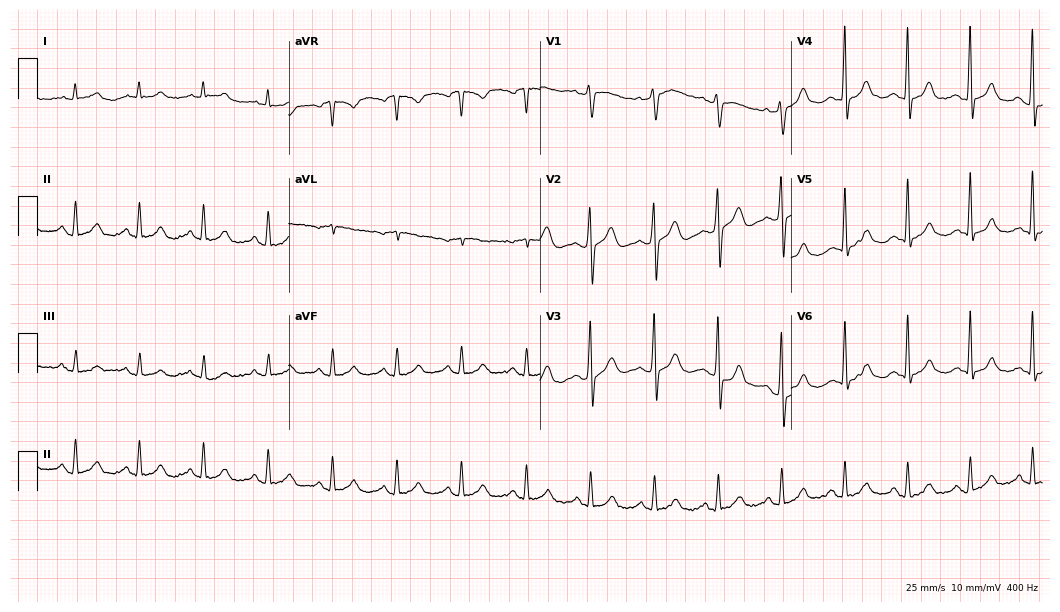
Standard 12-lead ECG recorded from a 61-year-old male. None of these six findings is recorded: first-degree AV block, right bundle branch block (RBBB), left bundle branch block (LBBB), sinus bradycardia, atrial fibrillation (AF), sinus tachycardia.